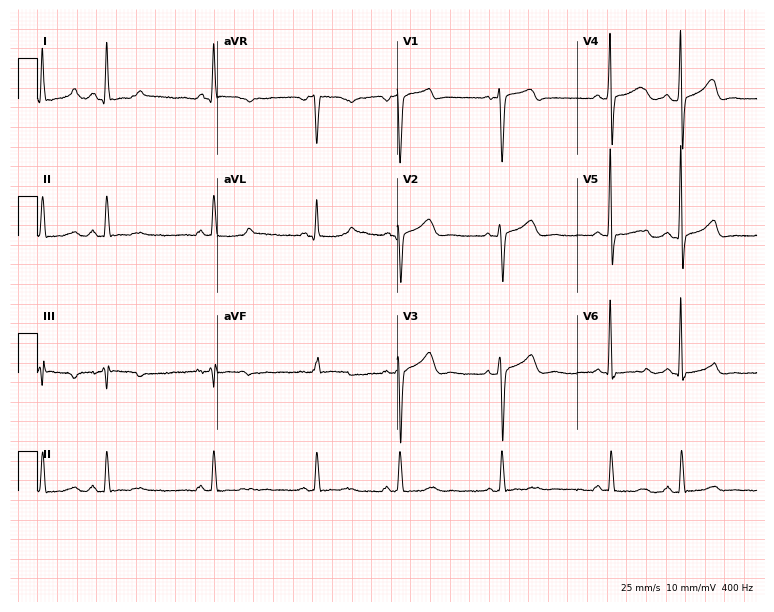
ECG — a 46-year-old female. Screened for six findings — first-degree AV block, right bundle branch block, left bundle branch block, sinus bradycardia, atrial fibrillation, sinus tachycardia — none is recorded.